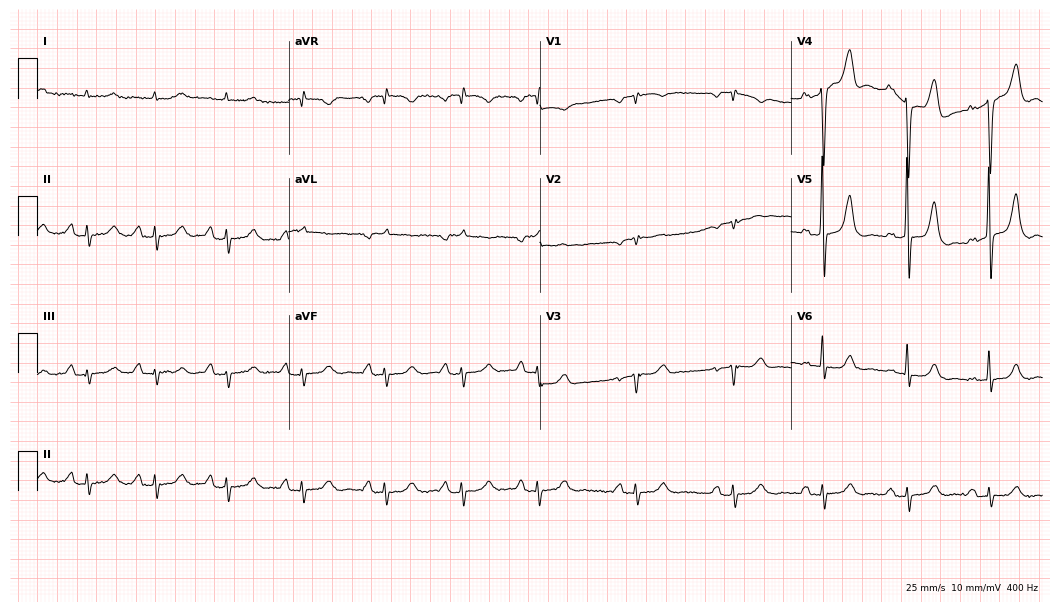
Electrocardiogram (10.2-second recording at 400 Hz), an 85-year-old male. Of the six screened findings (first-degree AV block, right bundle branch block, left bundle branch block, sinus bradycardia, atrial fibrillation, sinus tachycardia), none is recorded.